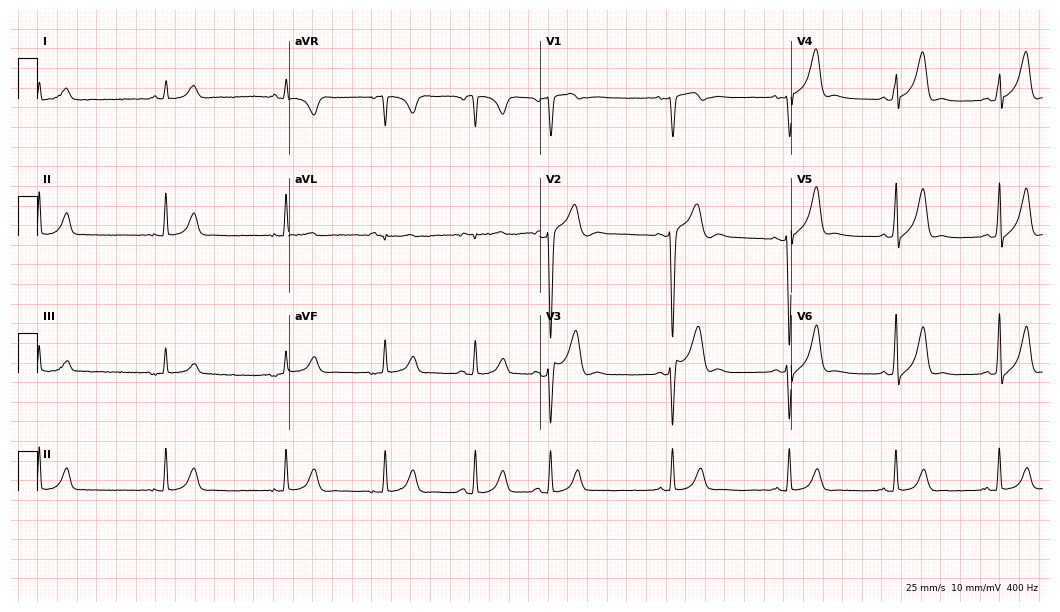
12-lead ECG from a 29-year-old male patient. Screened for six findings — first-degree AV block, right bundle branch block, left bundle branch block, sinus bradycardia, atrial fibrillation, sinus tachycardia — none is recorded.